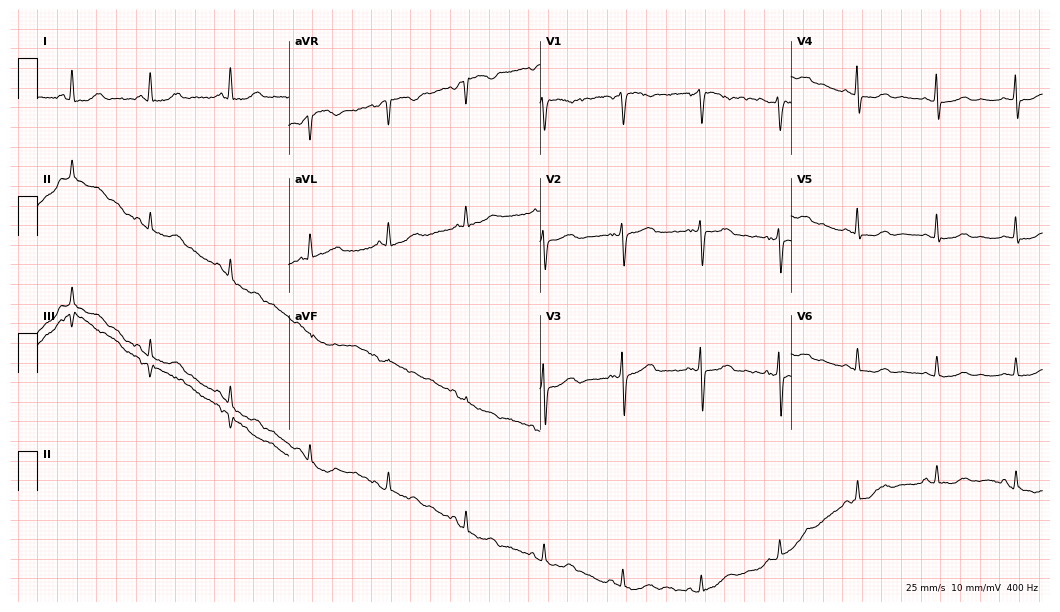
ECG (10.2-second recording at 400 Hz) — a 64-year-old woman. Labelled as a normal ECG.